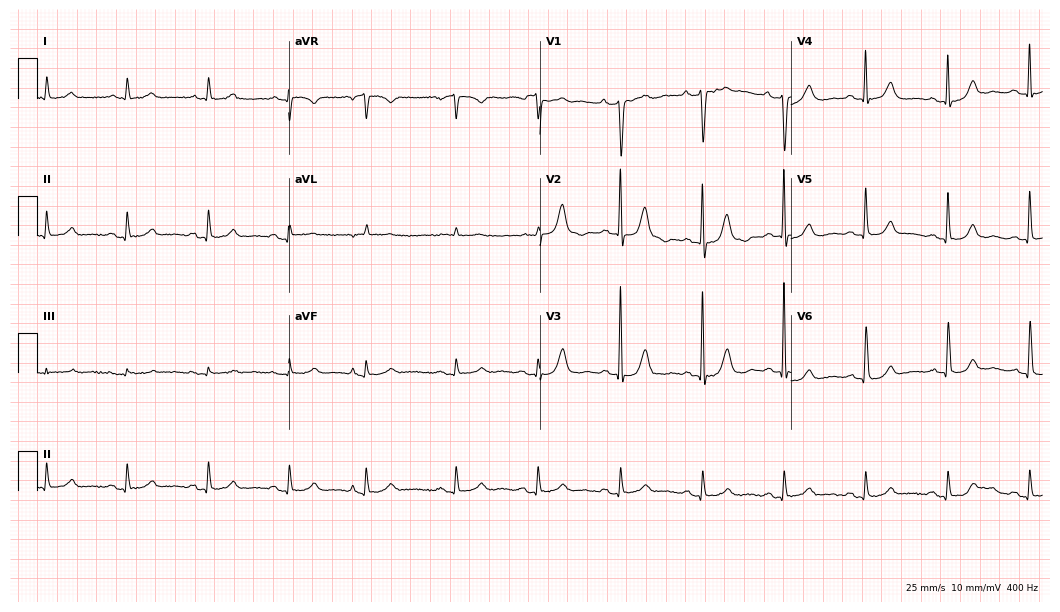
Electrocardiogram (10.2-second recording at 400 Hz), an 82-year-old female. Overall reading on record: normal ECG.